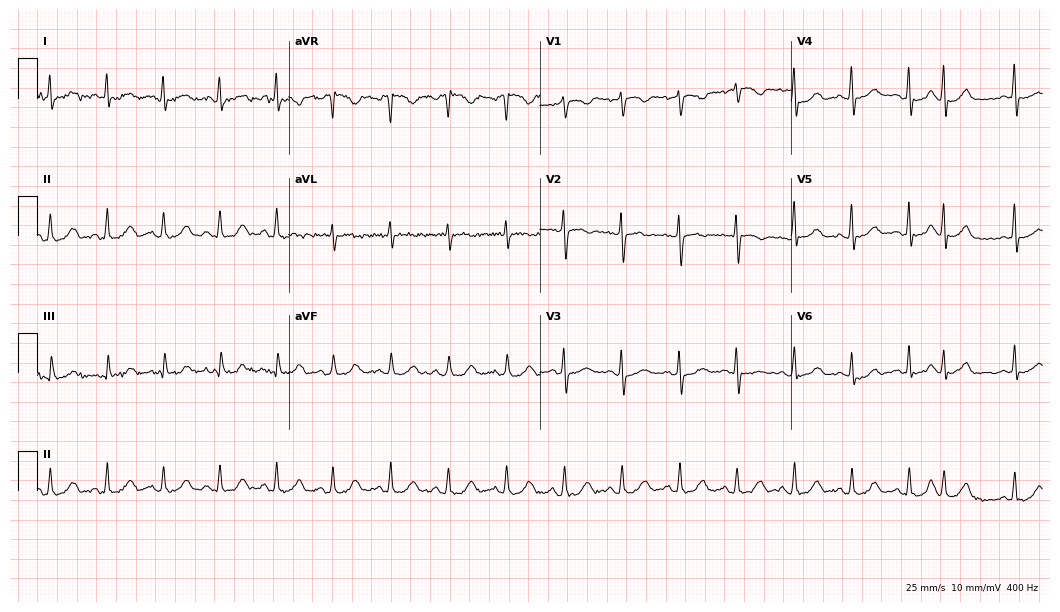
12-lead ECG from a 53-year-old female (10.2-second recording at 400 Hz). Shows sinus tachycardia (a sinus rate of 100 beats per minute or more).